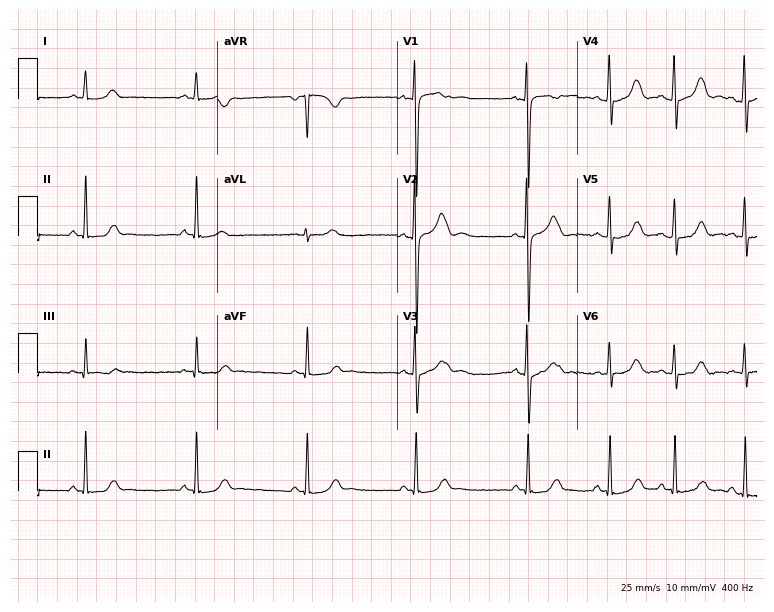
ECG (7.3-second recording at 400 Hz) — a 17-year-old female. Labelled as a normal ECG.